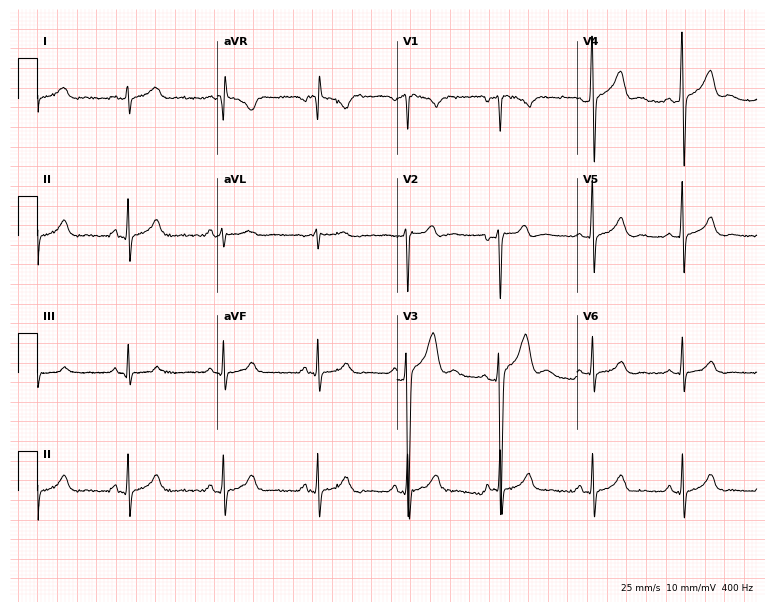
Electrocardiogram, a 21-year-old male. Overall reading on record: normal ECG.